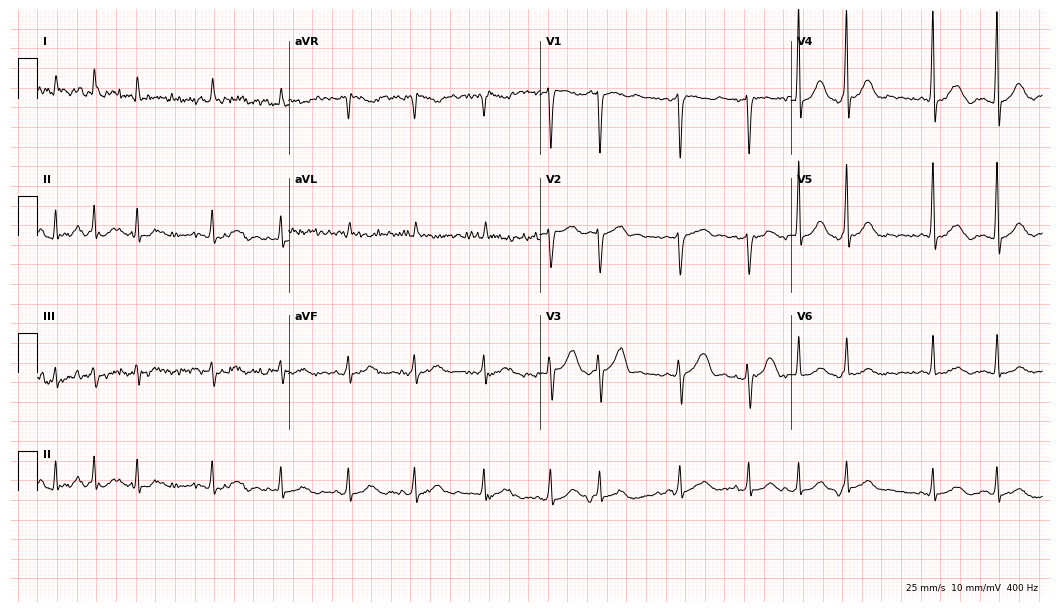
Standard 12-lead ECG recorded from a woman, 84 years old. None of these six findings is recorded: first-degree AV block, right bundle branch block (RBBB), left bundle branch block (LBBB), sinus bradycardia, atrial fibrillation (AF), sinus tachycardia.